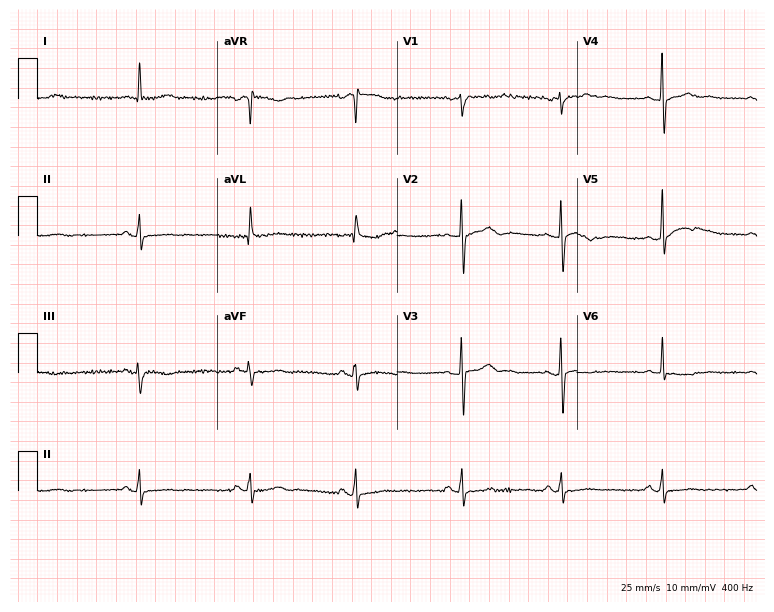
ECG (7.3-second recording at 400 Hz) — a woman, 63 years old. Labelled as a normal ECG.